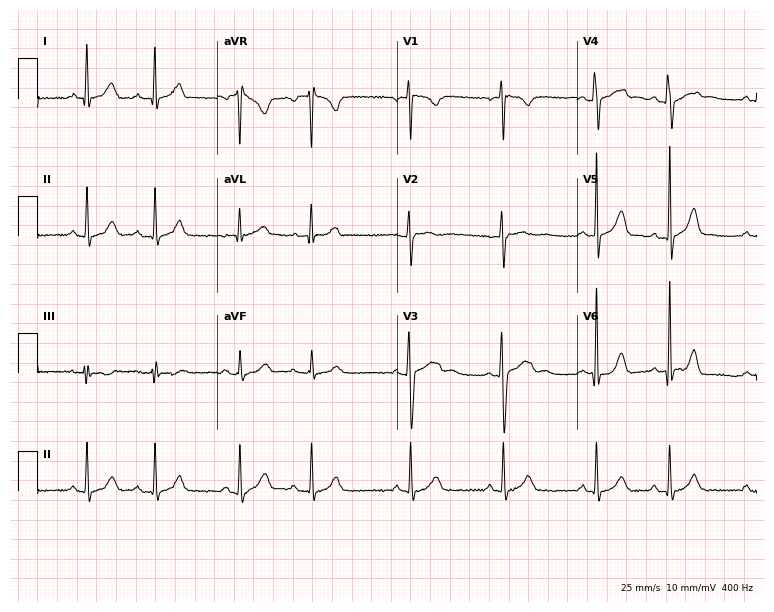
ECG — a 23-year-old female patient. Screened for six findings — first-degree AV block, right bundle branch block, left bundle branch block, sinus bradycardia, atrial fibrillation, sinus tachycardia — none is recorded. Other findings, if any, are not listed.